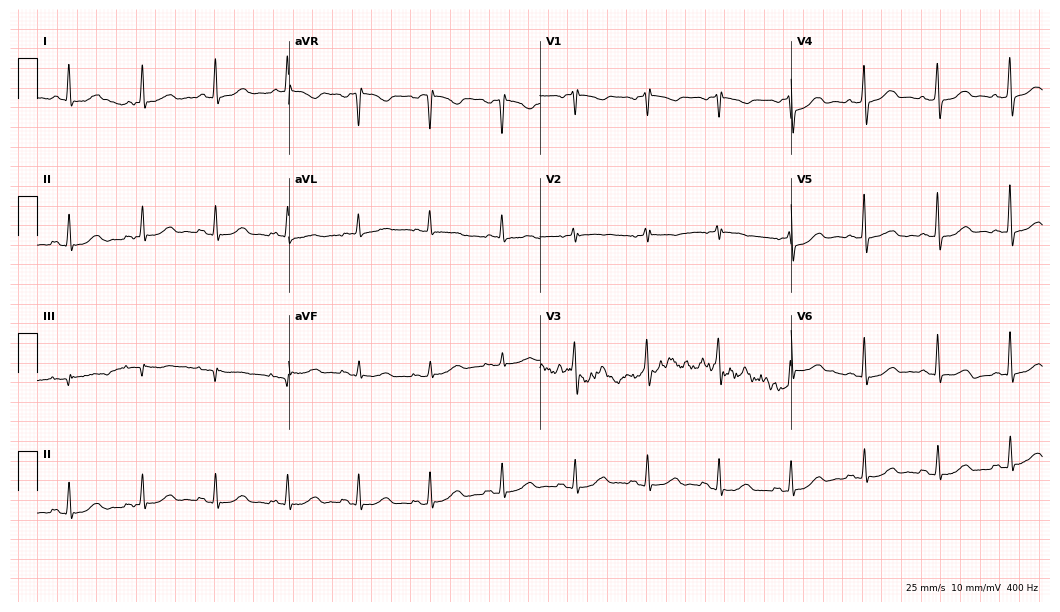
ECG (10.2-second recording at 400 Hz) — a female patient, 61 years old. Labelled as a normal ECG.